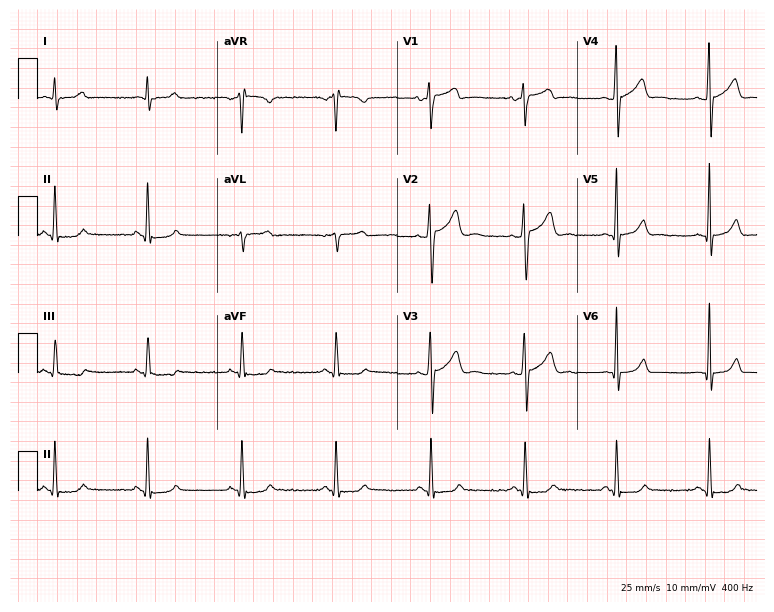
Resting 12-lead electrocardiogram (7.3-second recording at 400 Hz). Patient: a 36-year-old male. None of these six findings is recorded: first-degree AV block, right bundle branch block (RBBB), left bundle branch block (LBBB), sinus bradycardia, atrial fibrillation (AF), sinus tachycardia.